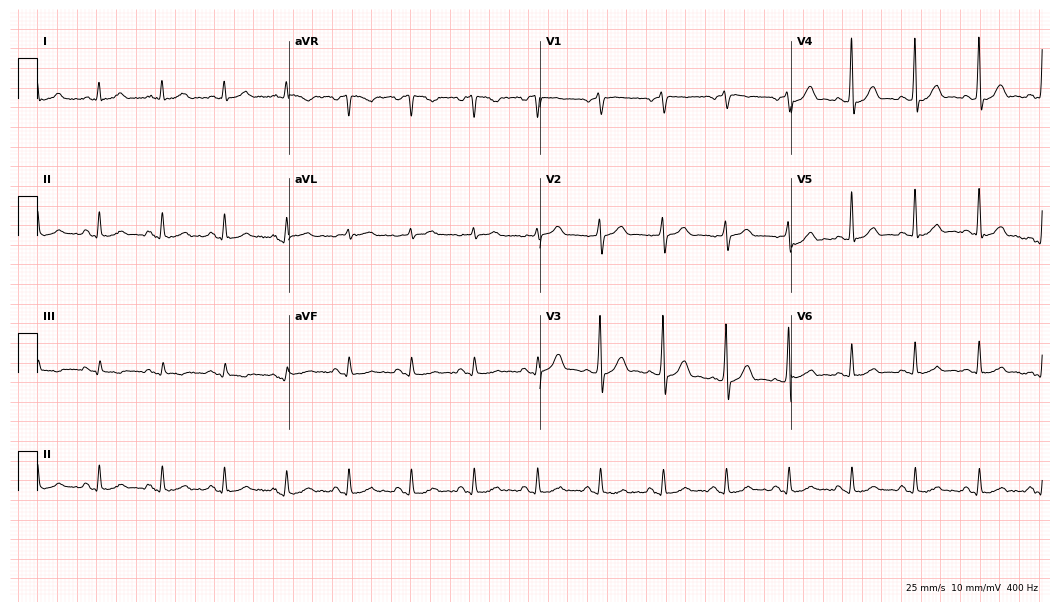
12-lead ECG from a 64-year-old male. Recorded interpretation: within normal limits.